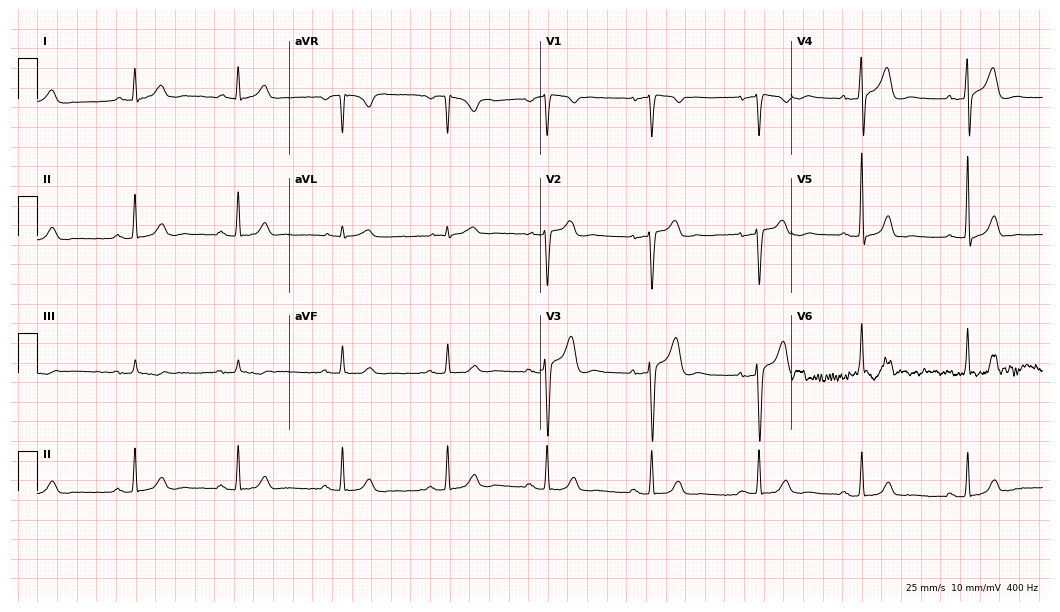
Electrocardiogram (10.2-second recording at 400 Hz), a 62-year-old male patient. Of the six screened findings (first-degree AV block, right bundle branch block (RBBB), left bundle branch block (LBBB), sinus bradycardia, atrial fibrillation (AF), sinus tachycardia), none is recorded.